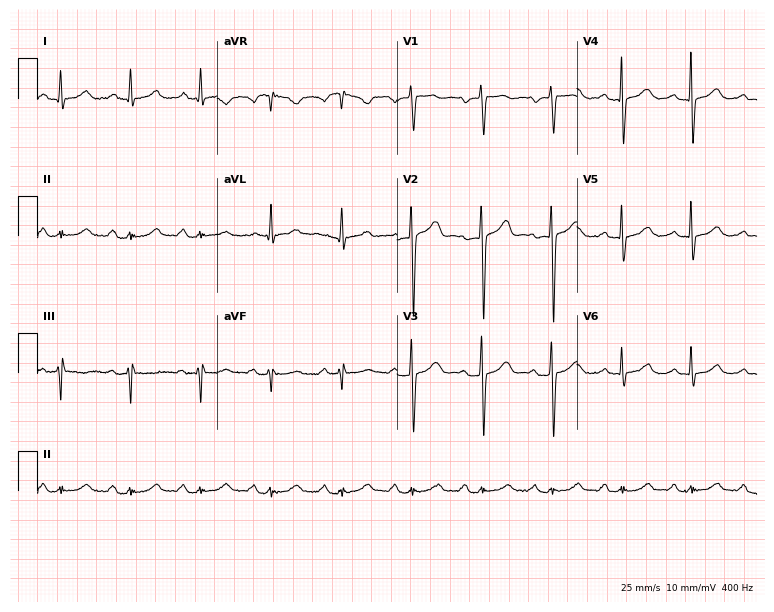
12-lead ECG (7.3-second recording at 400 Hz) from a male, 47 years old. Labelled as a normal ECG.